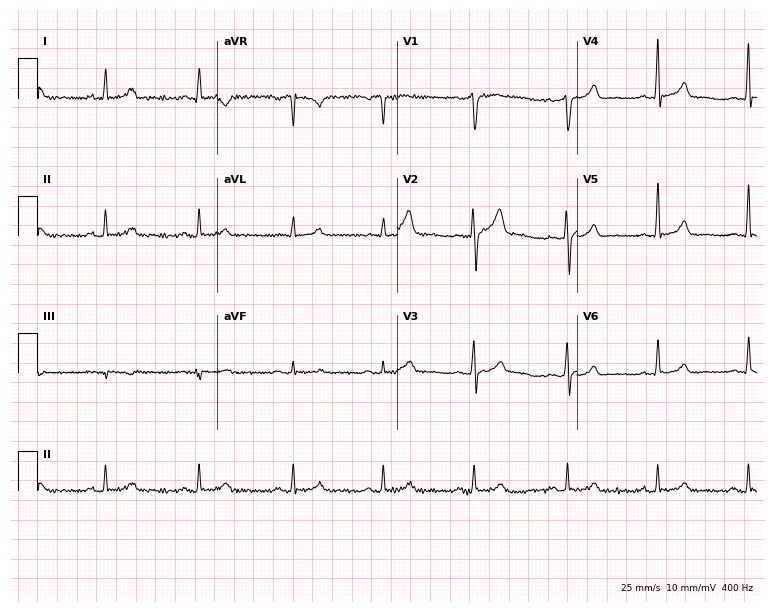
Electrocardiogram, a male patient, 42 years old. Overall reading on record: normal ECG.